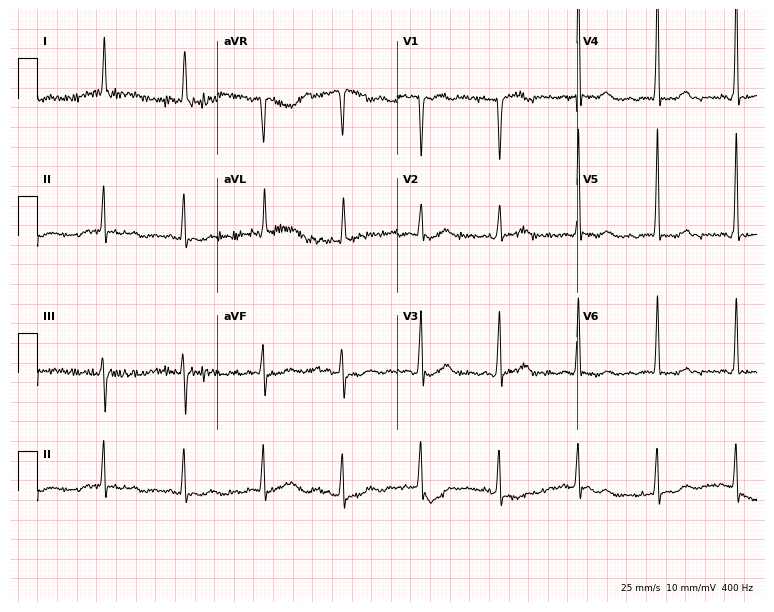
Resting 12-lead electrocardiogram (7.3-second recording at 400 Hz). Patient: a 67-year-old female. None of these six findings is recorded: first-degree AV block, right bundle branch block, left bundle branch block, sinus bradycardia, atrial fibrillation, sinus tachycardia. Findings outside these six are not listed.